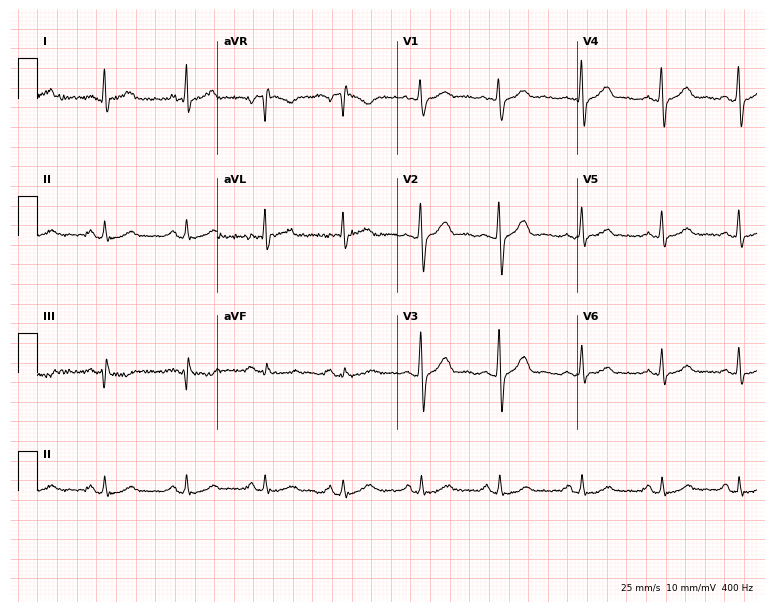
ECG (7.3-second recording at 400 Hz) — a 53-year-old male patient. Screened for six findings — first-degree AV block, right bundle branch block, left bundle branch block, sinus bradycardia, atrial fibrillation, sinus tachycardia — none is recorded.